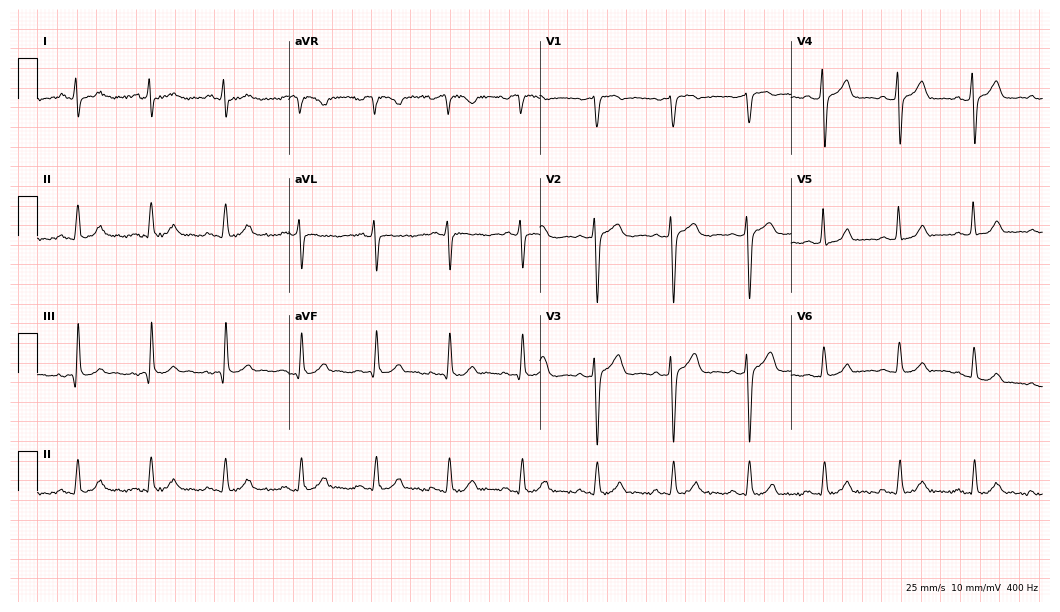
ECG — a man, 46 years old. Screened for six findings — first-degree AV block, right bundle branch block, left bundle branch block, sinus bradycardia, atrial fibrillation, sinus tachycardia — none is recorded.